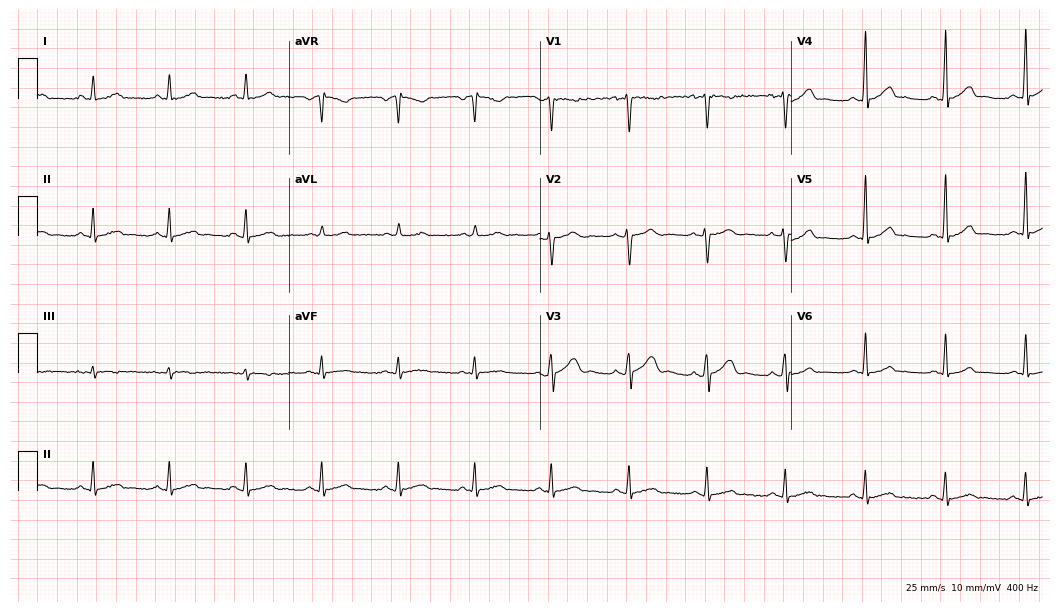
Standard 12-lead ECG recorded from a man, 37 years old. Read as a normal ECG.